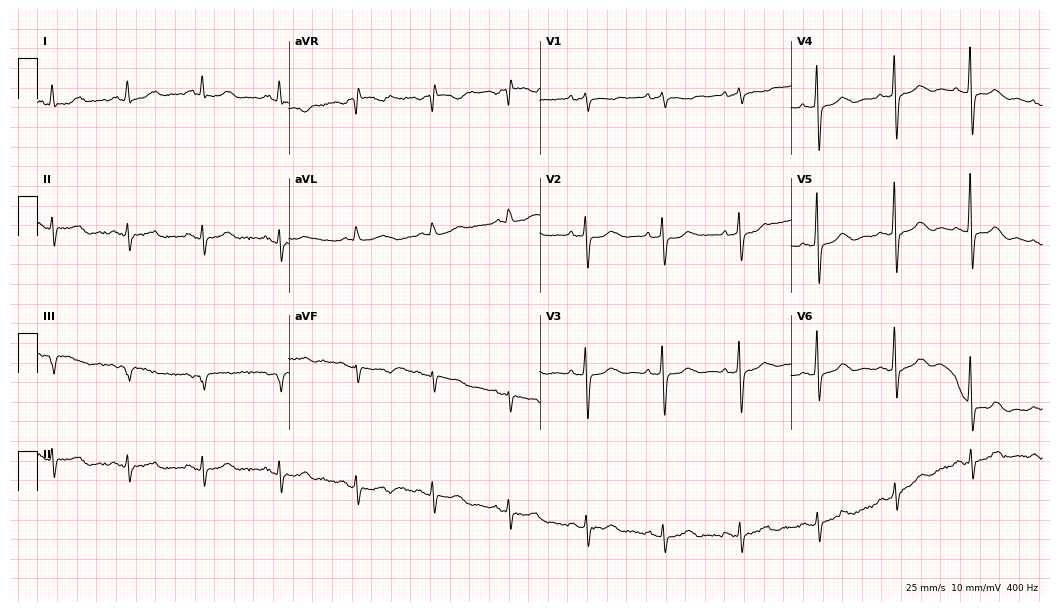
Electrocardiogram (10.2-second recording at 400 Hz), a woman, 69 years old. Of the six screened findings (first-degree AV block, right bundle branch block (RBBB), left bundle branch block (LBBB), sinus bradycardia, atrial fibrillation (AF), sinus tachycardia), none is recorded.